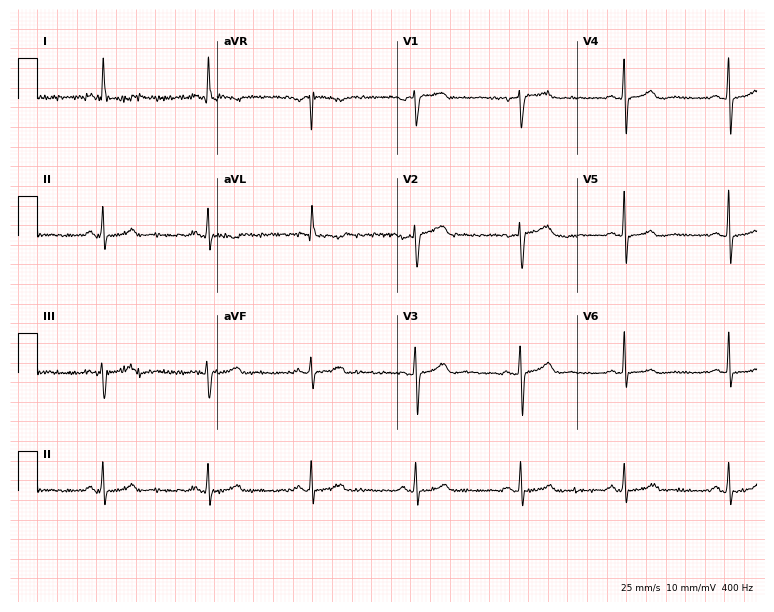
12-lead ECG (7.3-second recording at 400 Hz) from a 66-year-old woman. Screened for six findings — first-degree AV block, right bundle branch block (RBBB), left bundle branch block (LBBB), sinus bradycardia, atrial fibrillation (AF), sinus tachycardia — none is recorded. Only these six findings were labelled.